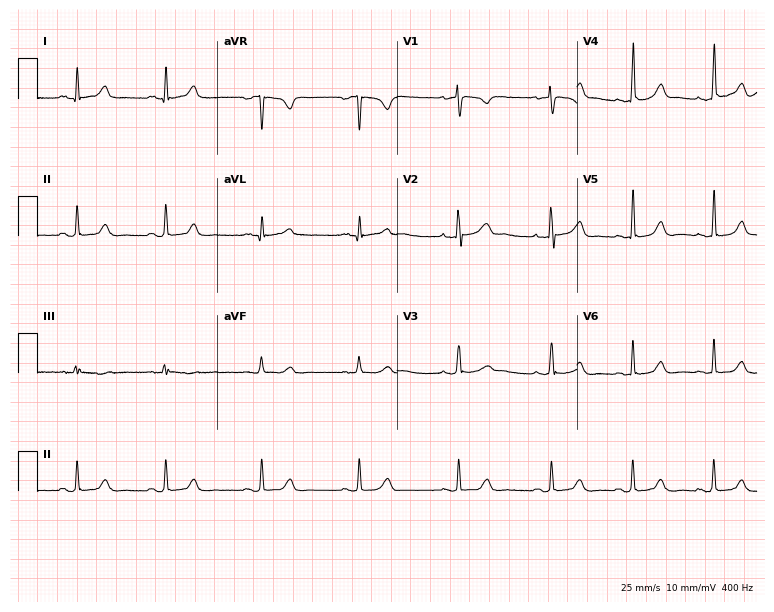
Resting 12-lead electrocardiogram (7.3-second recording at 400 Hz). Patient: a female, 31 years old. Read as a normal ECG.